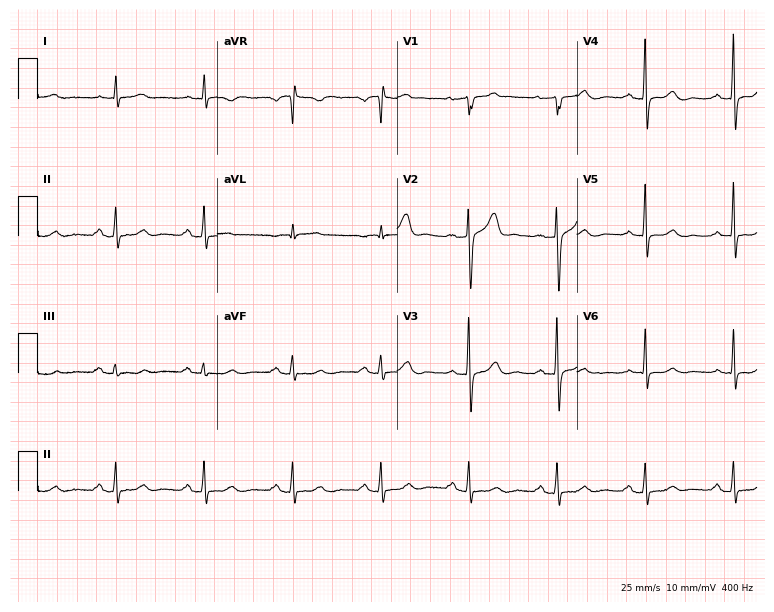
Standard 12-lead ECG recorded from a man, 64 years old (7.3-second recording at 400 Hz). Read as a normal ECG.